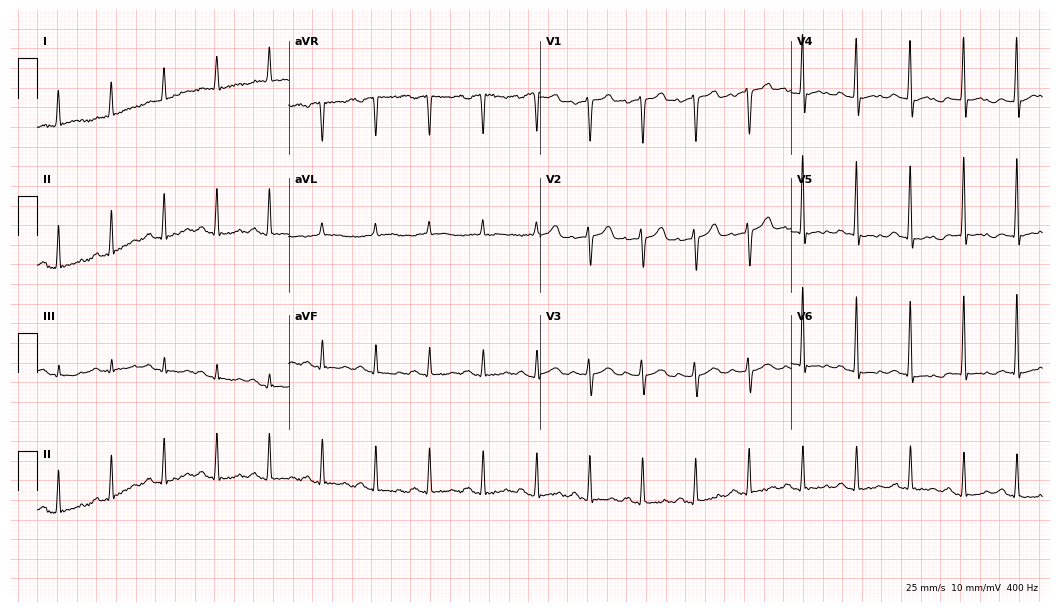
12-lead ECG from a 56-year-old male (10.2-second recording at 400 Hz). Shows sinus tachycardia (a sinus rate of 100 beats per minute or more).